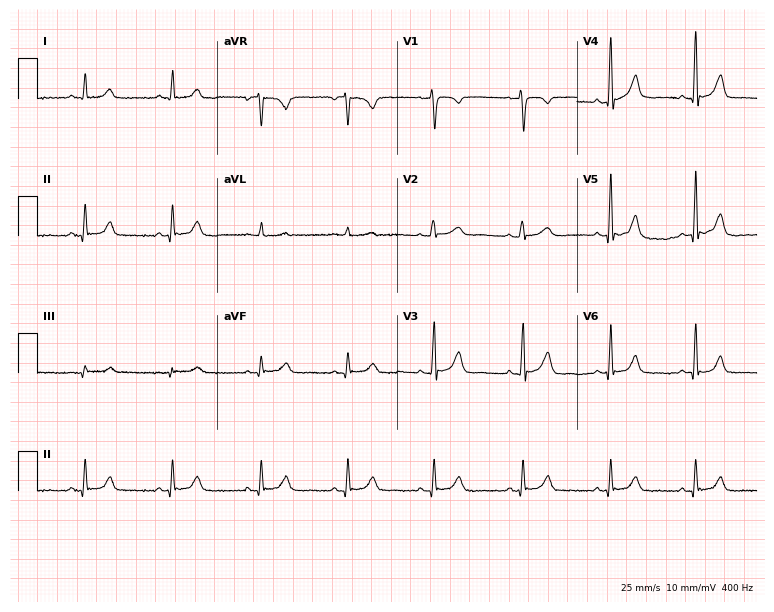
12-lead ECG from a female, 48 years old. Screened for six findings — first-degree AV block, right bundle branch block, left bundle branch block, sinus bradycardia, atrial fibrillation, sinus tachycardia — none is recorded.